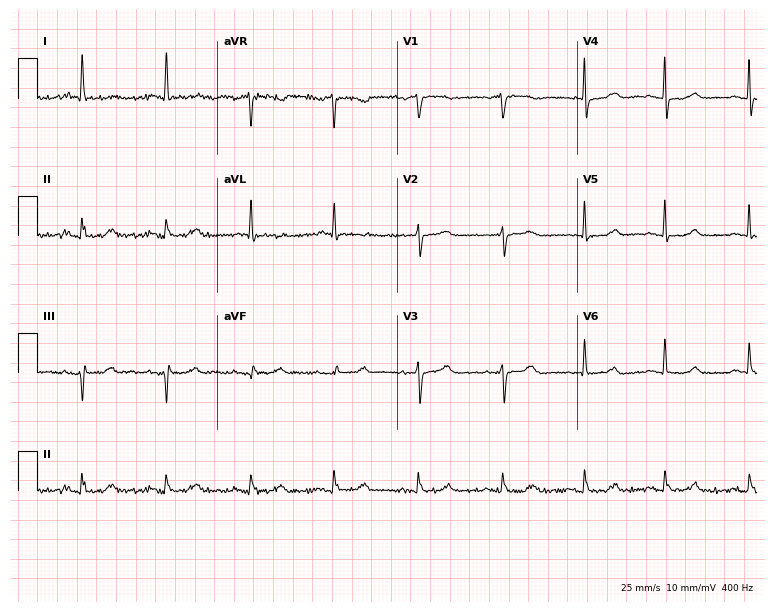
ECG (7.3-second recording at 400 Hz) — a woman, 75 years old. Screened for six findings — first-degree AV block, right bundle branch block, left bundle branch block, sinus bradycardia, atrial fibrillation, sinus tachycardia — none is recorded. Only these six findings were labelled.